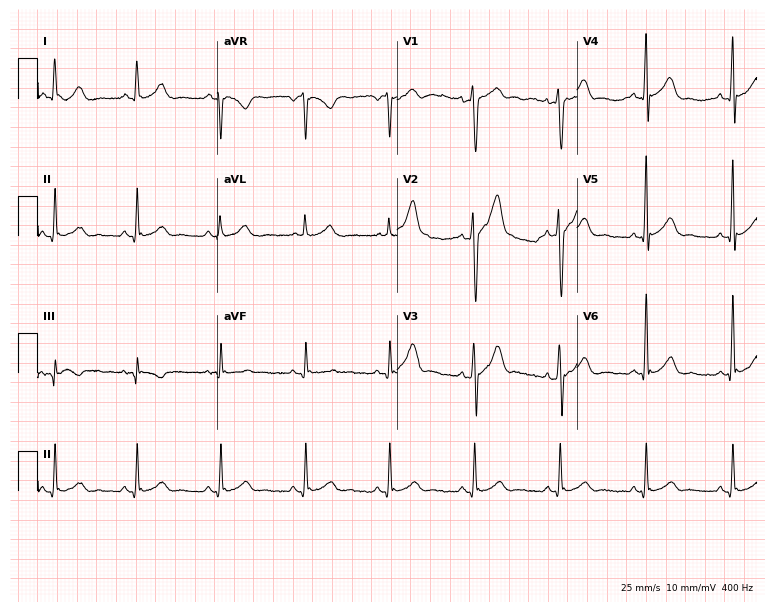
Standard 12-lead ECG recorded from a 36-year-old male (7.3-second recording at 400 Hz). Read as a normal ECG.